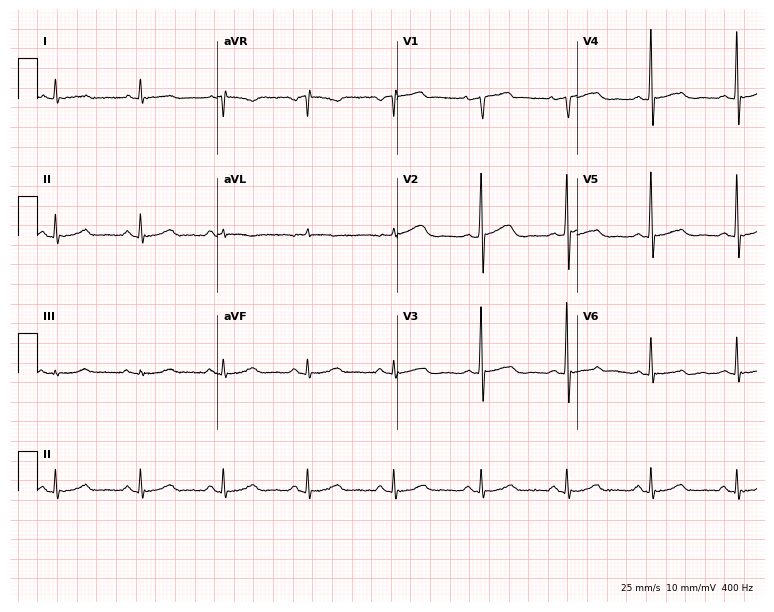
12-lead ECG (7.3-second recording at 400 Hz) from a male, 81 years old. Labelled as a normal ECG.